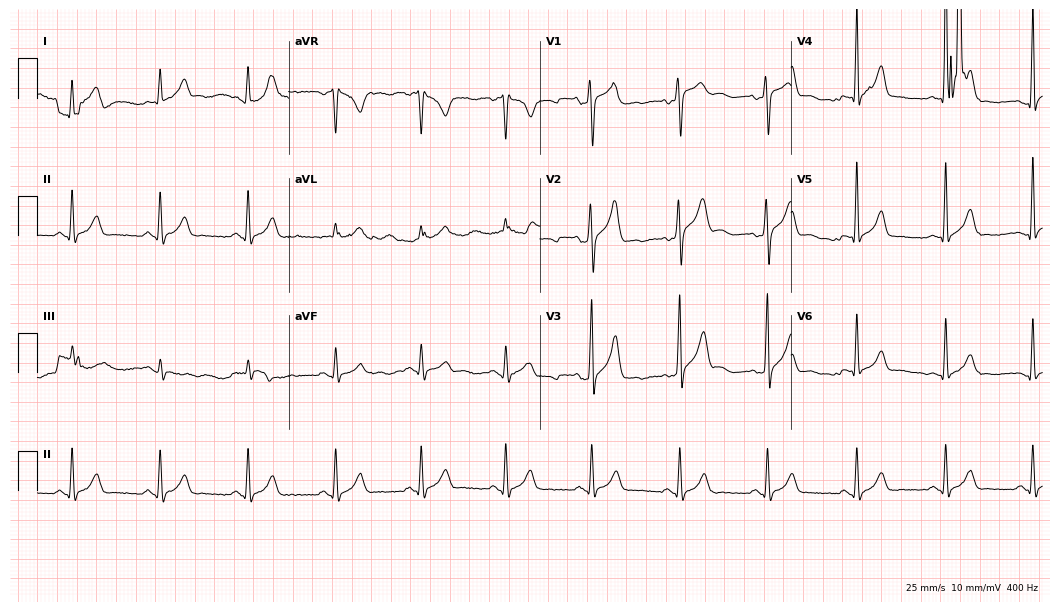
ECG (10.2-second recording at 400 Hz) — a male patient, 46 years old. Screened for six findings — first-degree AV block, right bundle branch block (RBBB), left bundle branch block (LBBB), sinus bradycardia, atrial fibrillation (AF), sinus tachycardia — none is recorded.